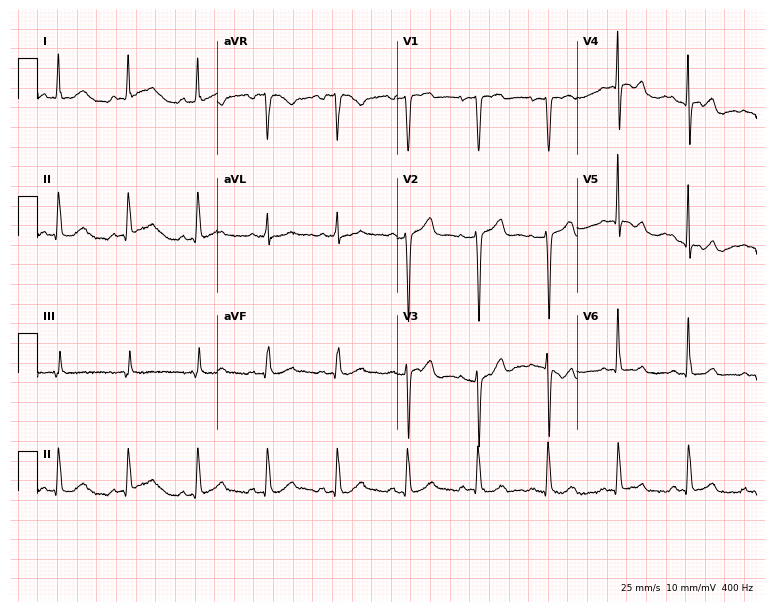
Standard 12-lead ECG recorded from a 61-year-old female. Read as a normal ECG.